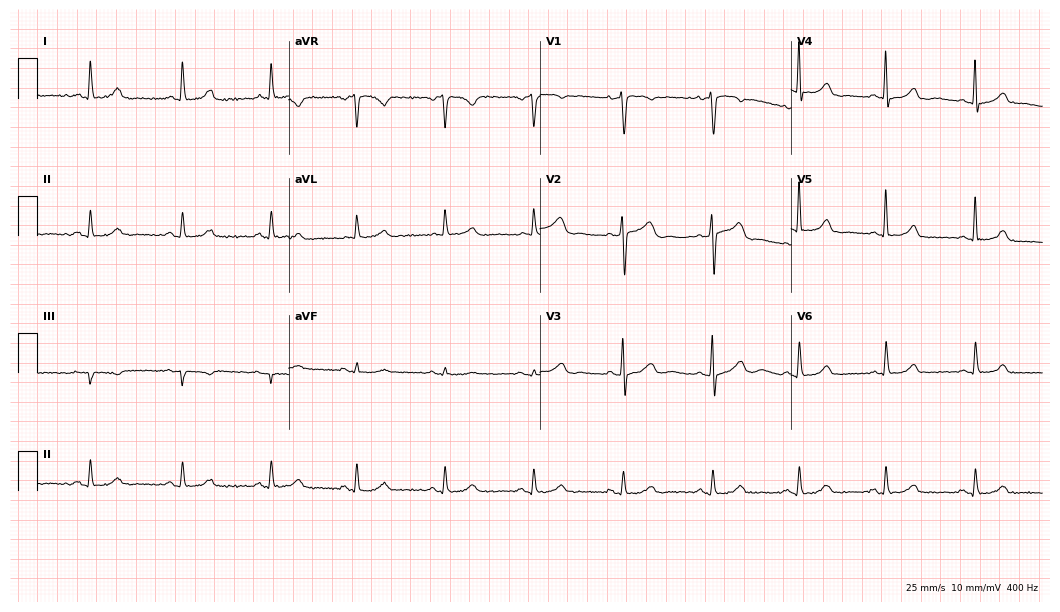
Resting 12-lead electrocardiogram. Patient: a 66-year-old female. Read as a normal ECG.